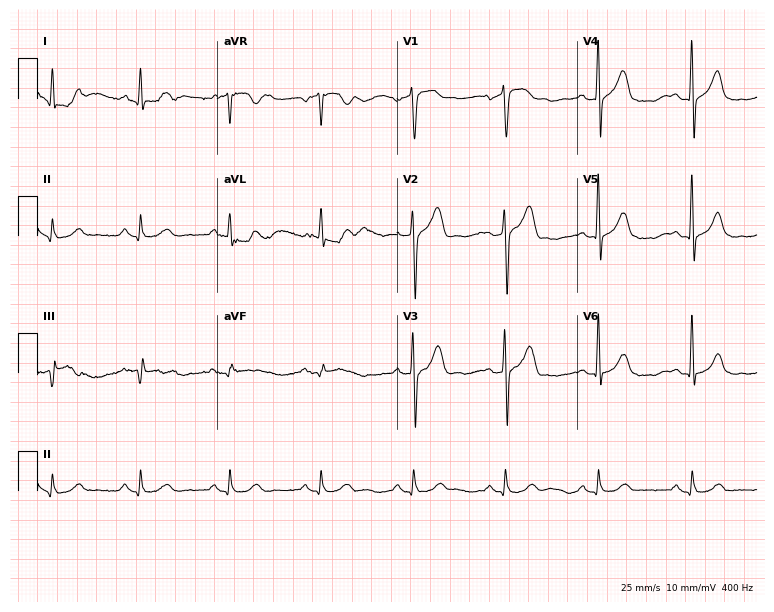
12-lead ECG from a 63-year-old male. No first-degree AV block, right bundle branch block (RBBB), left bundle branch block (LBBB), sinus bradycardia, atrial fibrillation (AF) or sinus tachycardia recorded for this tracing.